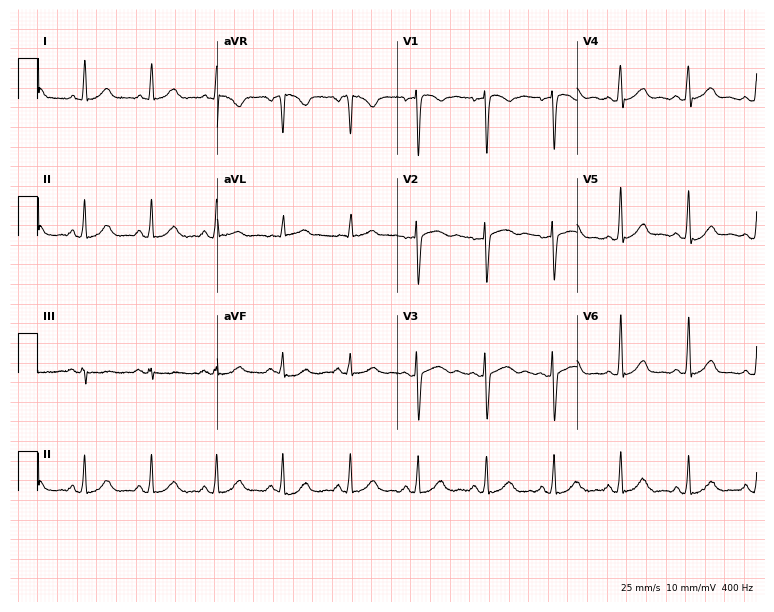
Resting 12-lead electrocardiogram. Patient: a female, 57 years old. Read as a normal ECG.